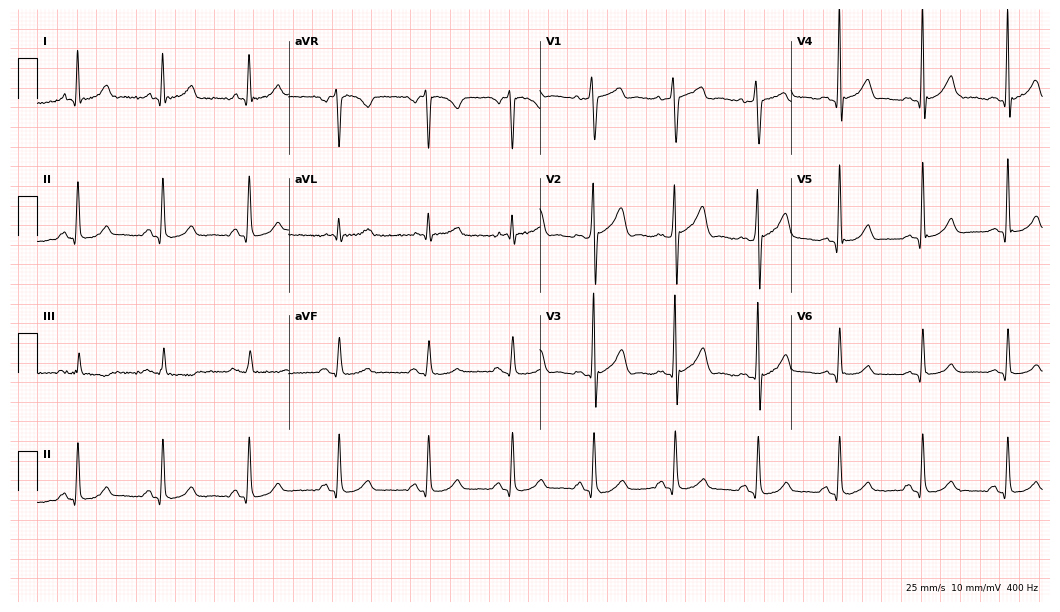
Resting 12-lead electrocardiogram. Patient: a male, 53 years old. Read as a normal ECG.